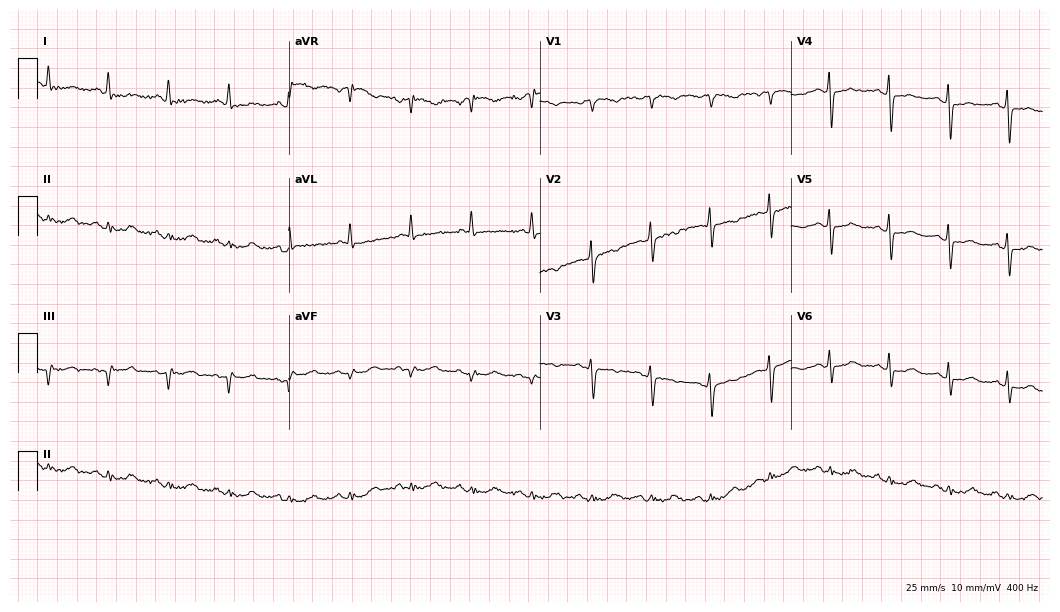
ECG (10.2-second recording at 400 Hz) — a 71-year-old female. Labelled as a normal ECG.